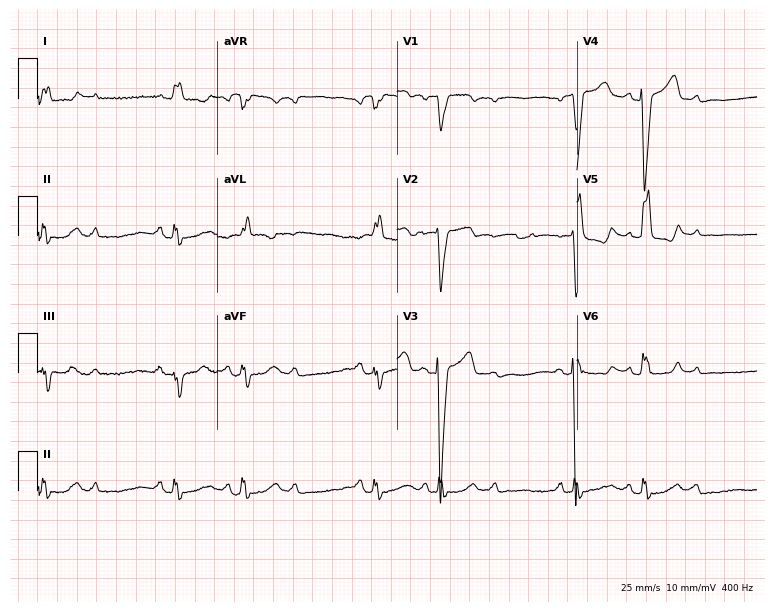
ECG — a female patient, 79 years old. Findings include left bundle branch block.